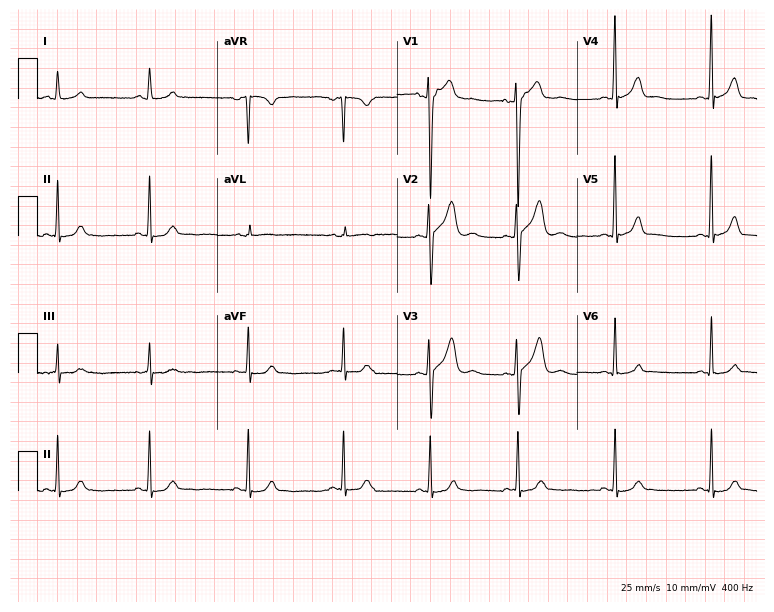
12-lead ECG (7.3-second recording at 400 Hz) from a 25-year-old male. Labelled as a normal ECG.